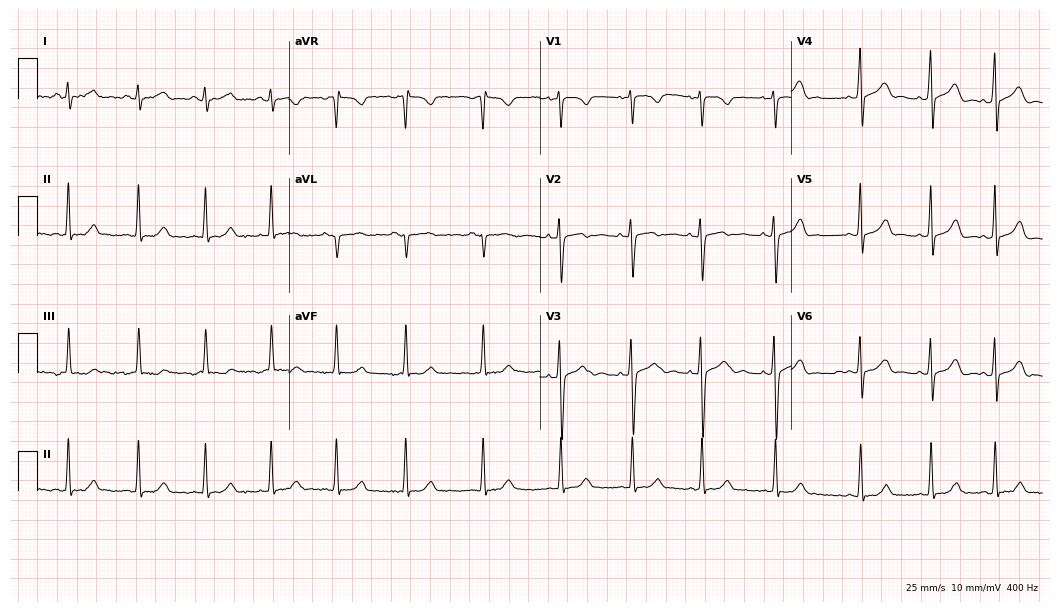
12-lead ECG (10.2-second recording at 400 Hz) from a female, 21 years old. Screened for six findings — first-degree AV block, right bundle branch block, left bundle branch block, sinus bradycardia, atrial fibrillation, sinus tachycardia — none is recorded.